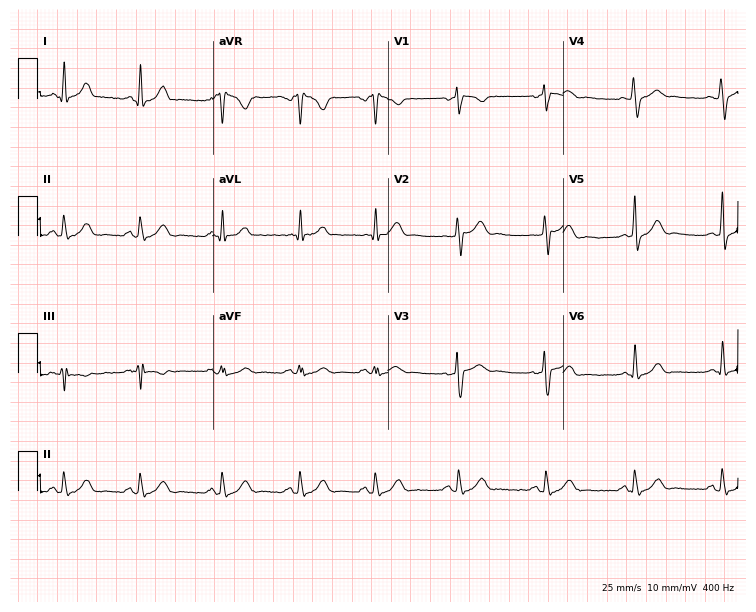
12-lead ECG from a 34-year-old woman (7.1-second recording at 400 Hz). No first-degree AV block, right bundle branch block, left bundle branch block, sinus bradycardia, atrial fibrillation or sinus tachycardia recorded for this tracing. Findings outside these six are not listed.